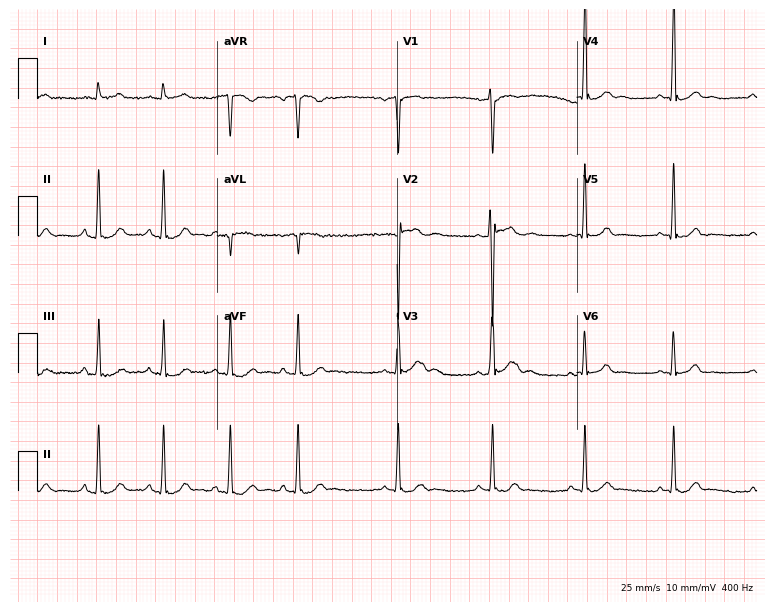
Standard 12-lead ECG recorded from a male, 19 years old. None of these six findings is recorded: first-degree AV block, right bundle branch block (RBBB), left bundle branch block (LBBB), sinus bradycardia, atrial fibrillation (AF), sinus tachycardia. Only these six findings were labelled.